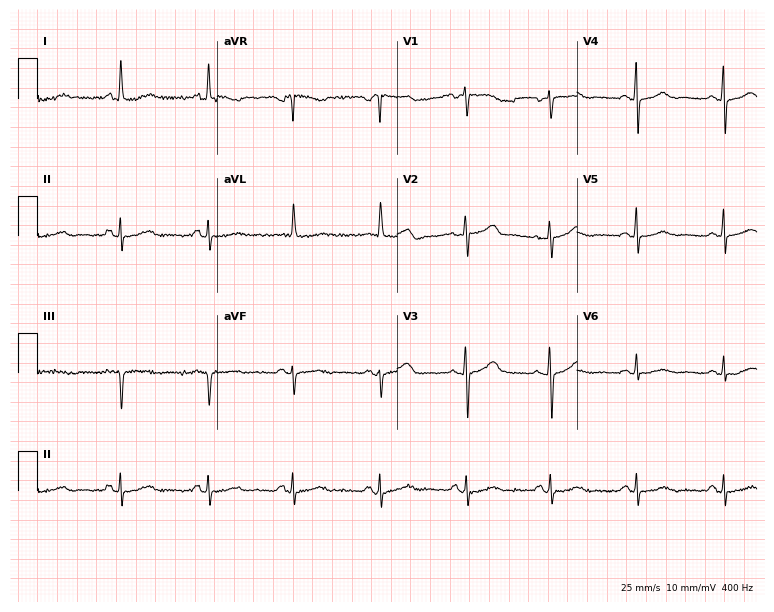
Electrocardiogram (7.3-second recording at 400 Hz), a 57-year-old woman. Overall reading on record: normal ECG.